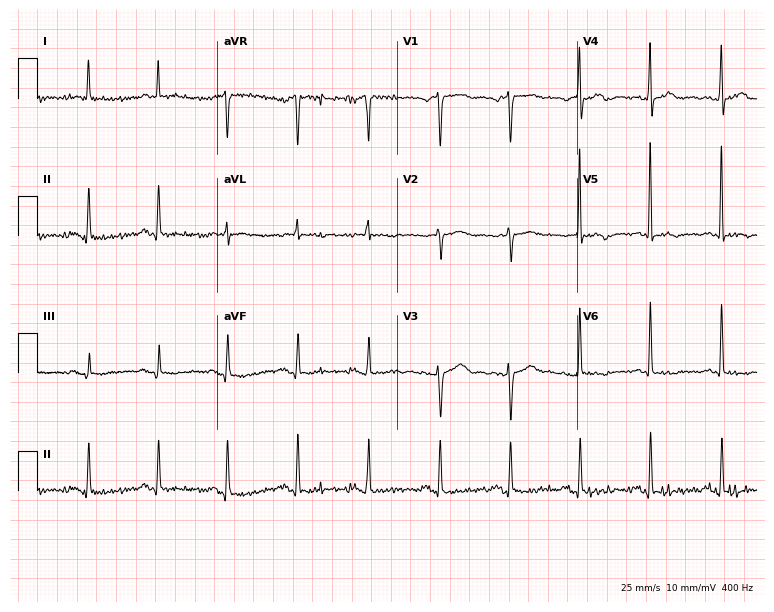
Electrocardiogram (7.3-second recording at 400 Hz), a 79-year-old woman. Of the six screened findings (first-degree AV block, right bundle branch block (RBBB), left bundle branch block (LBBB), sinus bradycardia, atrial fibrillation (AF), sinus tachycardia), none is recorded.